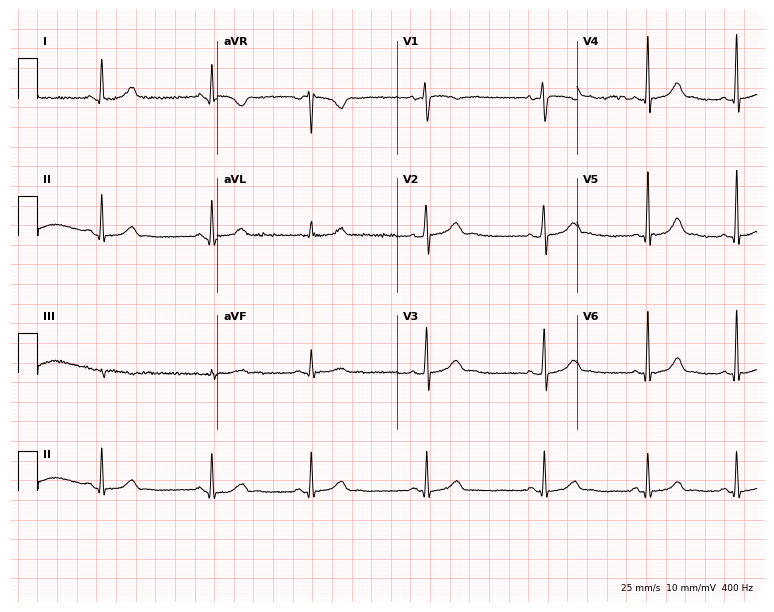
Resting 12-lead electrocardiogram. Patient: a woman, 28 years old. Read as a normal ECG.